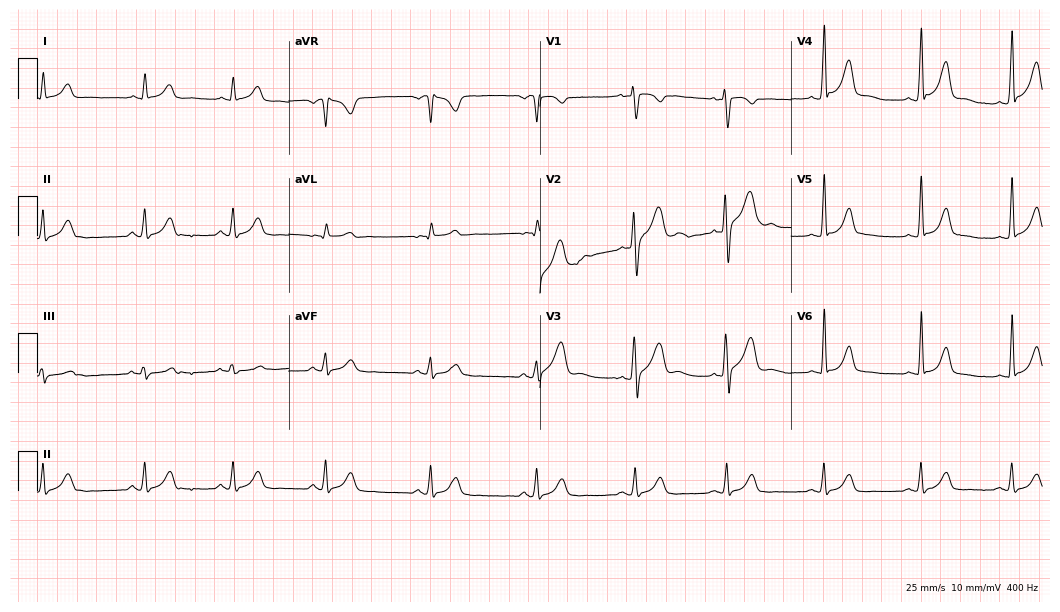
12-lead ECG (10.2-second recording at 400 Hz) from a 20-year-old male. Labelled as a normal ECG.